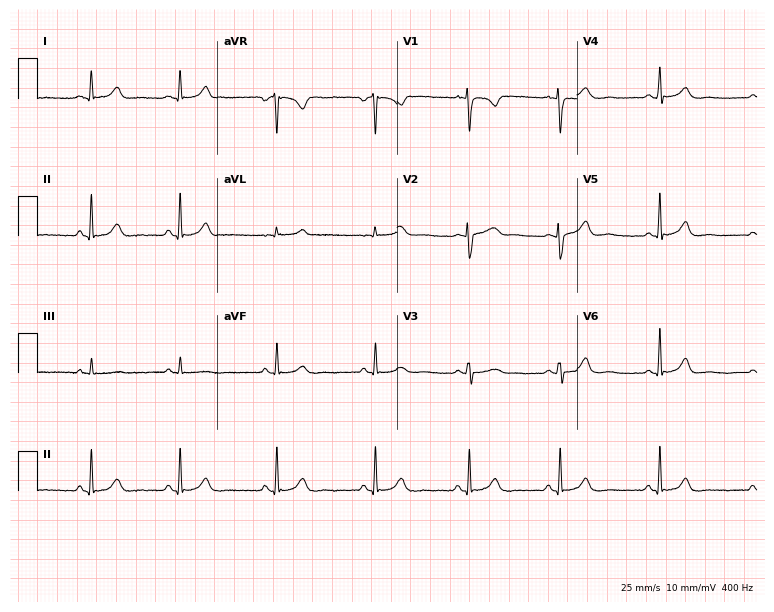
Standard 12-lead ECG recorded from a 31-year-old woman. Read as a normal ECG.